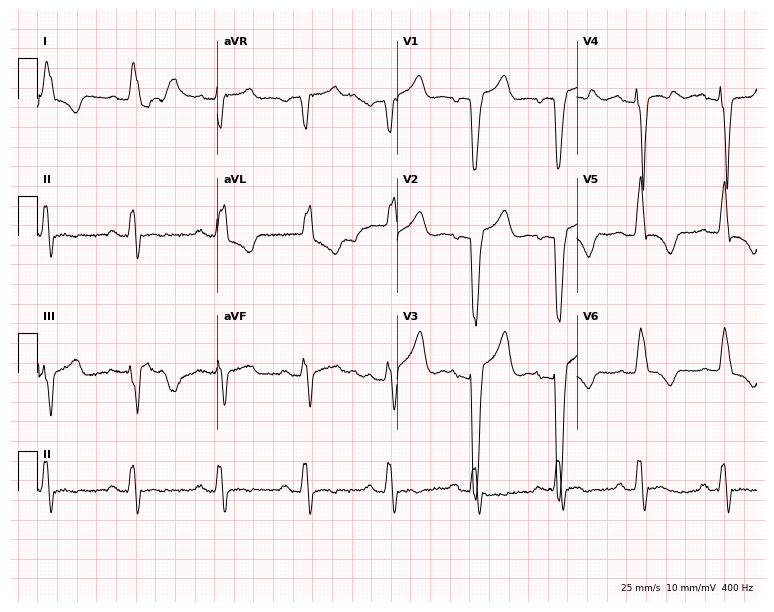
ECG — a female, 85 years old. Findings include left bundle branch block.